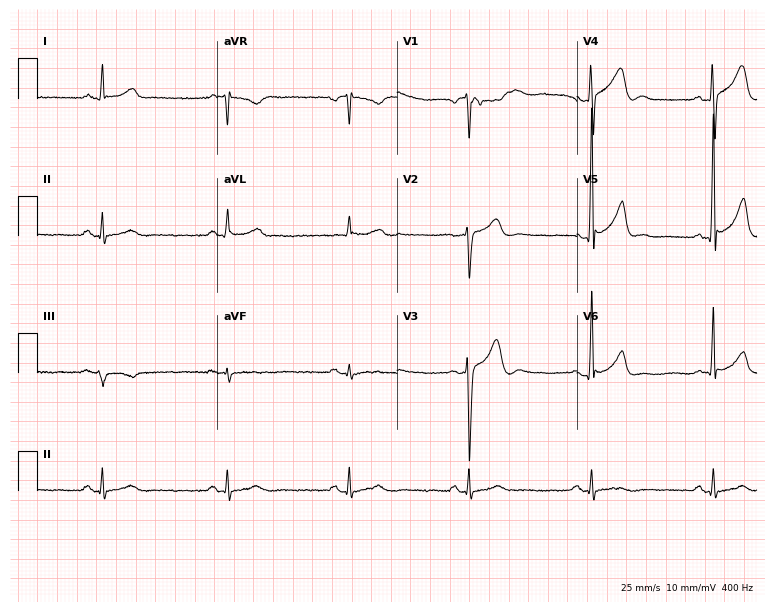
Resting 12-lead electrocardiogram (7.3-second recording at 400 Hz). Patient: a 70-year-old man. The tracing shows sinus bradycardia (a sinus rate of 50 beats per minute or less).